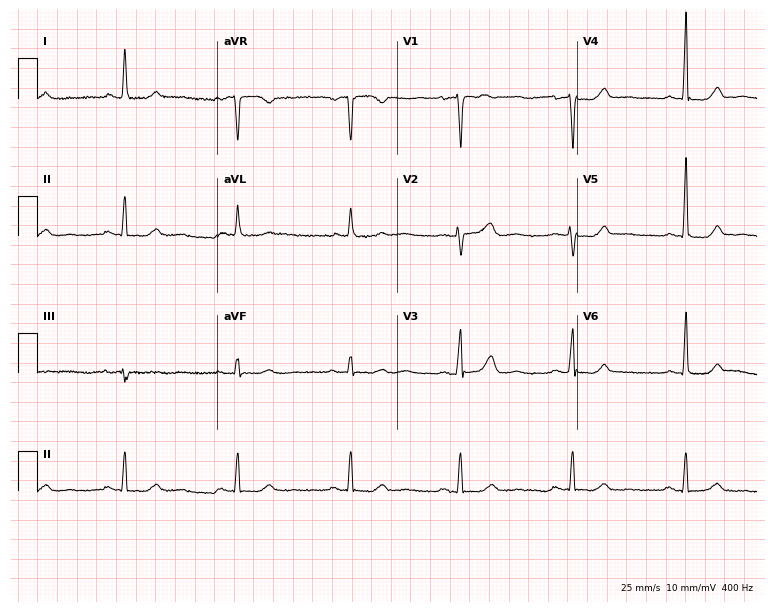
Electrocardiogram, a female patient, 64 years old. Overall reading on record: normal ECG.